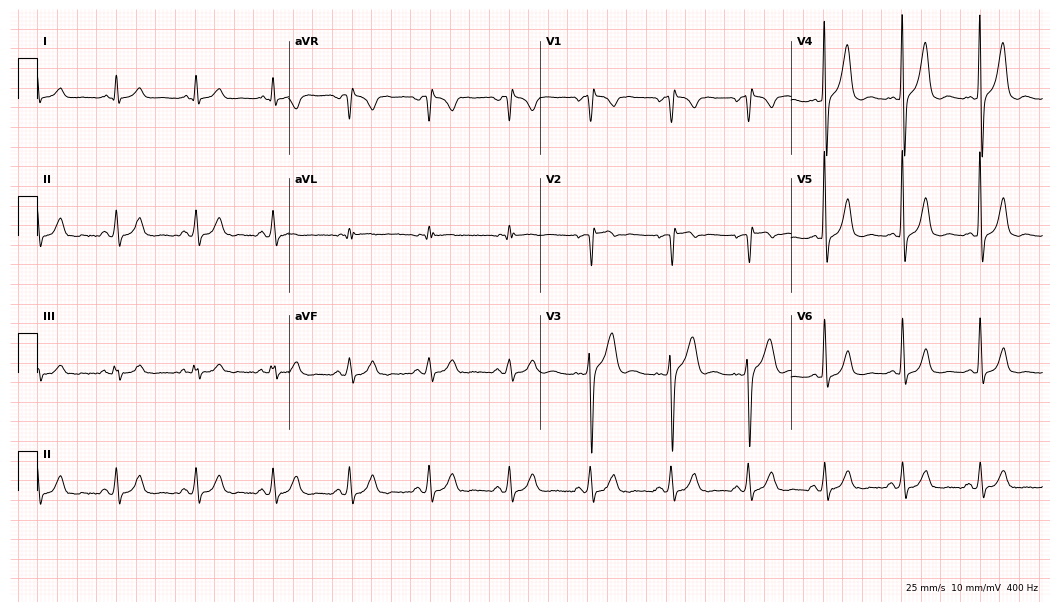
Electrocardiogram (10.2-second recording at 400 Hz), a 51-year-old male patient. Of the six screened findings (first-degree AV block, right bundle branch block, left bundle branch block, sinus bradycardia, atrial fibrillation, sinus tachycardia), none is recorded.